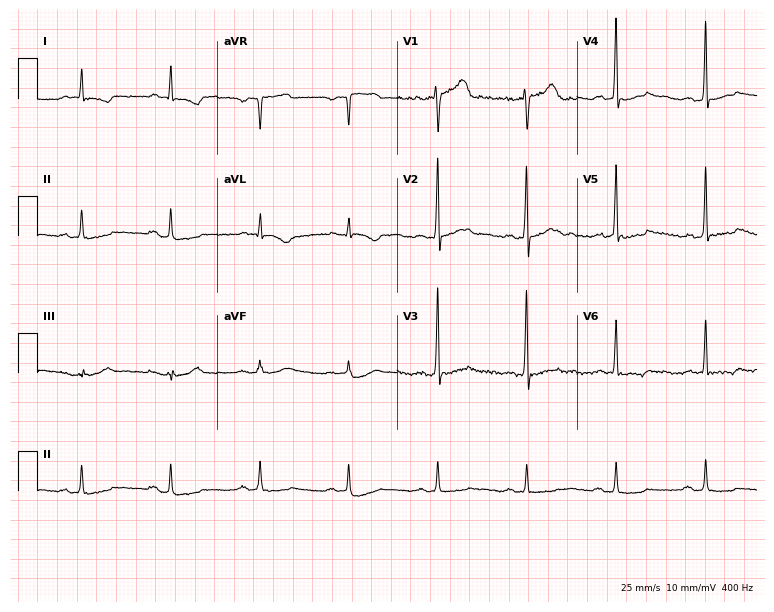
12-lead ECG (7.3-second recording at 400 Hz) from a 65-year-old male. Screened for six findings — first-degree AV block, right bundle branch block, left bundle branch block, sinus bradycardia, atrial fibrillation, sinus tachycardia — none is recorded.